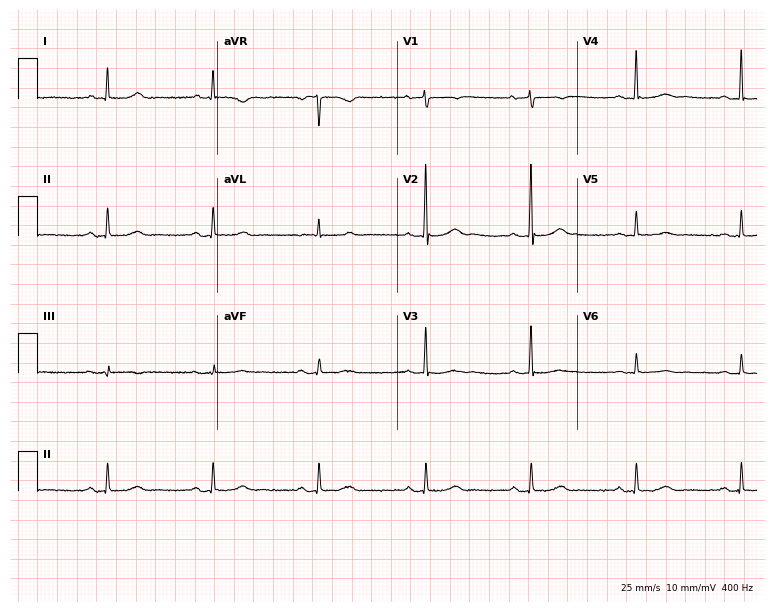
Electrocardiogram (7.3-second recording at 400 Hz), a 74-year-old female patient. Of the six screened findings (first-degree AV block, right bundle branch block, left bundle branch block, sinus bradycardia, atrial fibrillation, sinus tachycardia), none is recorded. Other findings, if any, are not listed.